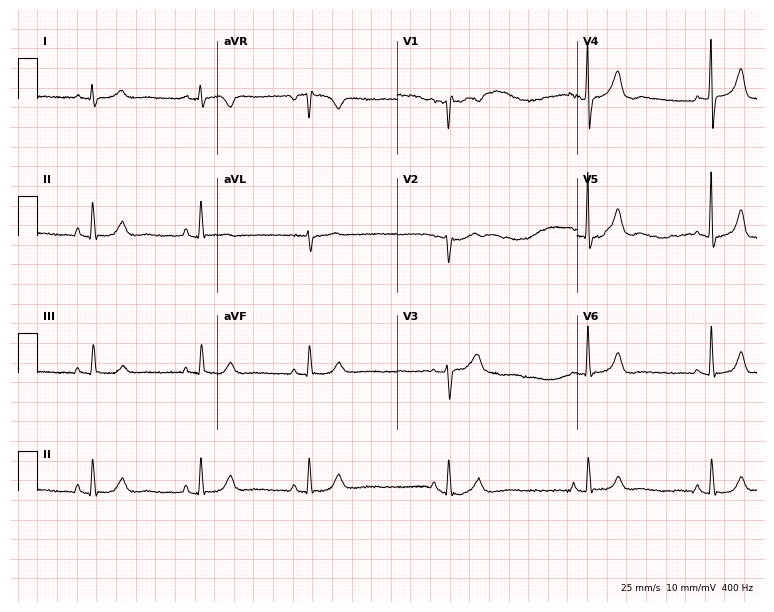
12-lead ECG from a female, 67 years old (7.3-second recording at 400 Hz). Shows sinus bradycardia (a sinus rate of 50 beats per minute or less).